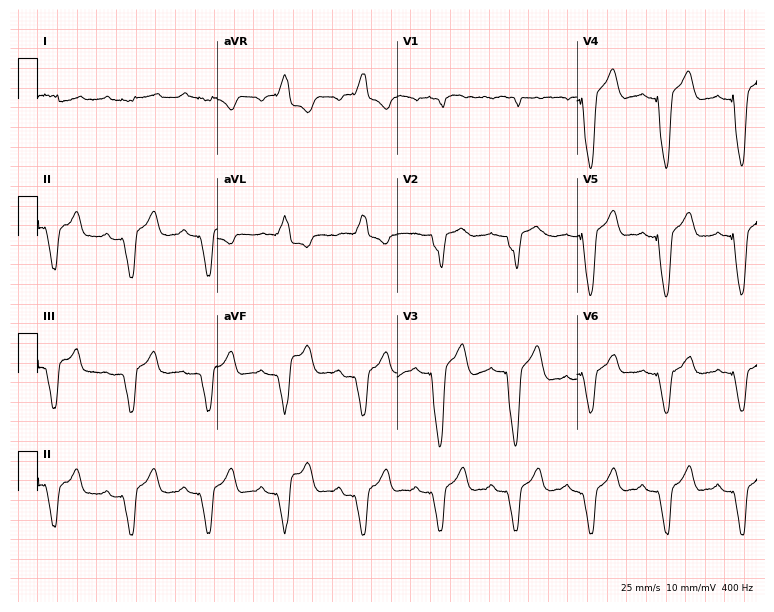
12-lead ECG from a male patient, 73 years old (7.3-second recording at 400 Hz). No first-degree AV block, right bundle branch block, left bundle branch block, sinus bradycardia, atrial fibrillation or sinus tachycardia recorded for this tracing. Findings outside these six are not listed.